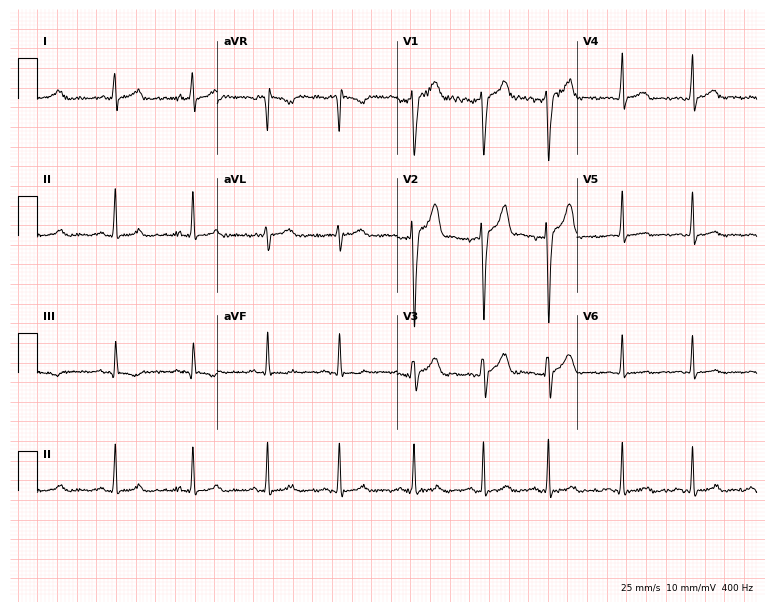
ECG — a male, 21 years old. Labelled as a normal ECG.